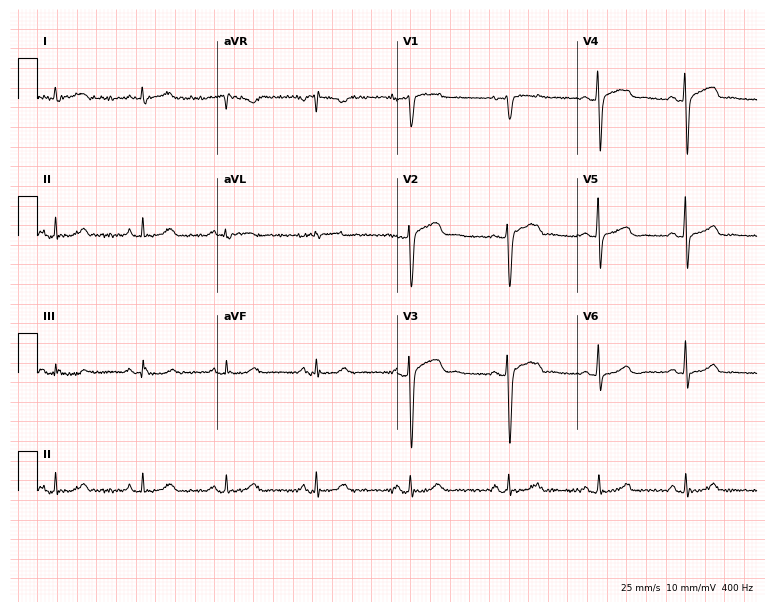
Electrocardiogram (7.3-second recording at 400 Hz), a 52-year-old woman. Of the six screened findings (first-degree AV block, right bundle branch block, left bundle branch block, sinus bradycardia, atrial fibrillation, sinus tachycardia), none is recorded. Only these six findings were labelled.